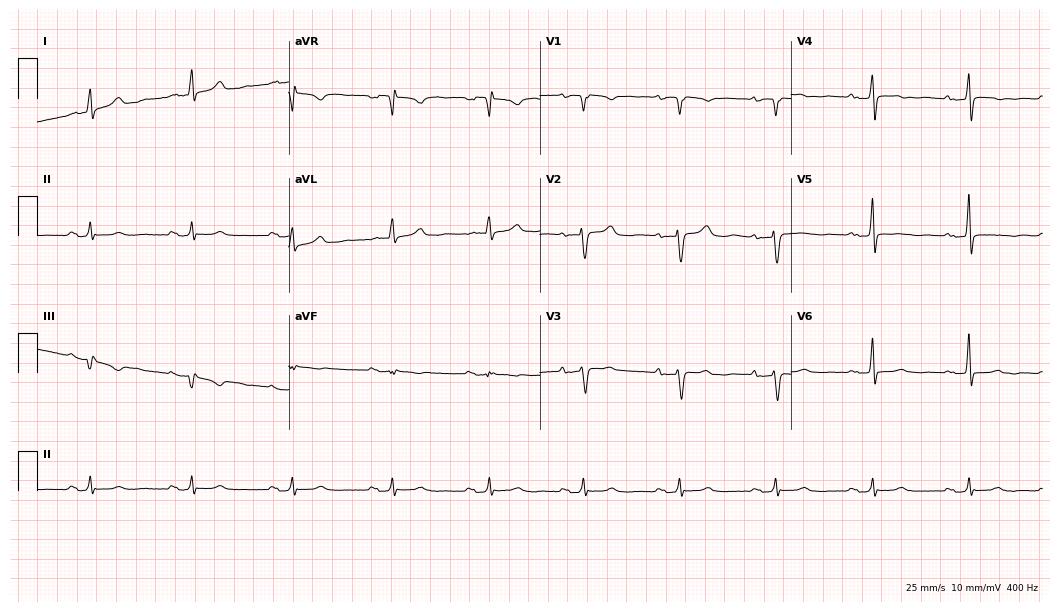
Electrocardiogram (10.2-second recording at 400 Hz), a 61-year-old woman. Of the six screened findings (first-degree AV block, right bundle branch block, left bundle branch block, sinus bradycardia, atrial fibrillation, sinus tachycardia), none is recorded. Only these six findings were labelled.